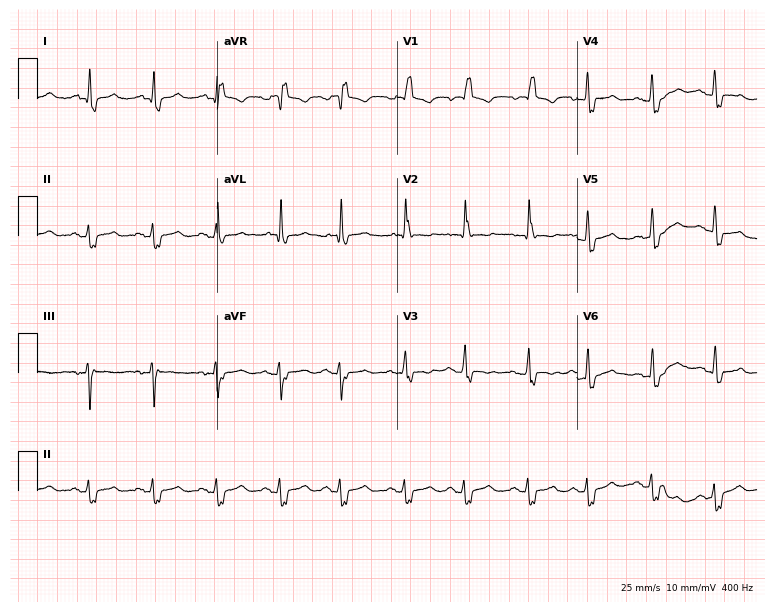
Standard 12-lead ECG recorded from a female, 67 years old. The tracing shows right bundle branch block (RBBB).